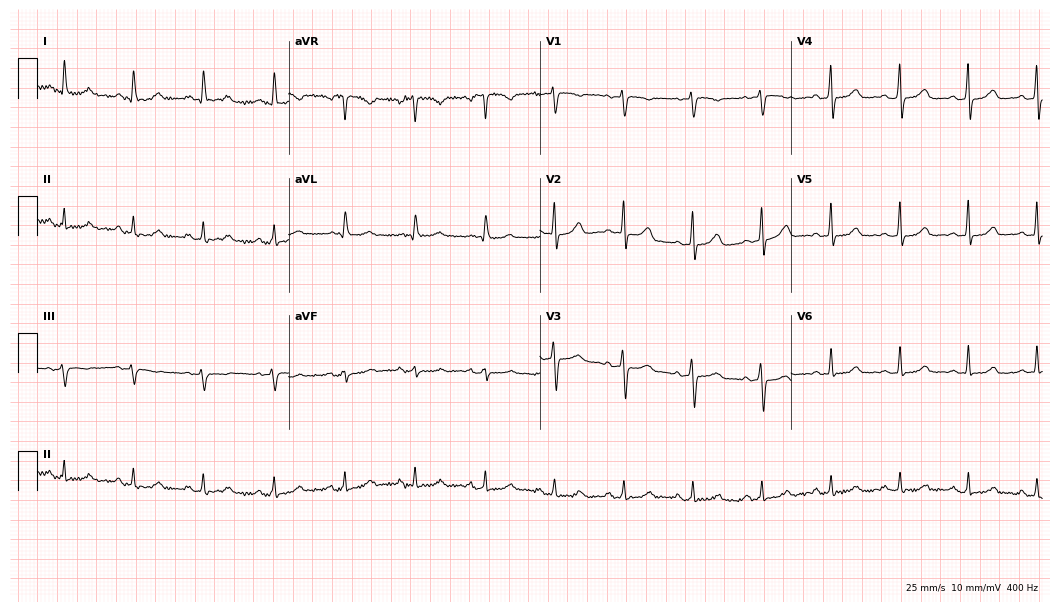
Electrocardiogram, a female patient, 58 years old. Overall reading on record: normal ECG.